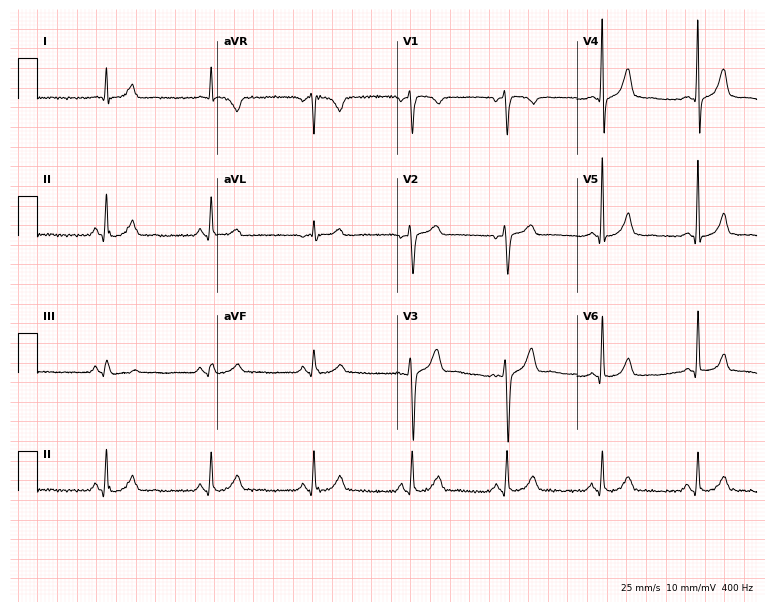
12-lead ECG from a man, 52 years old (7.3-second recording at 400 Hz). Recorded interpretation: within normal limits.